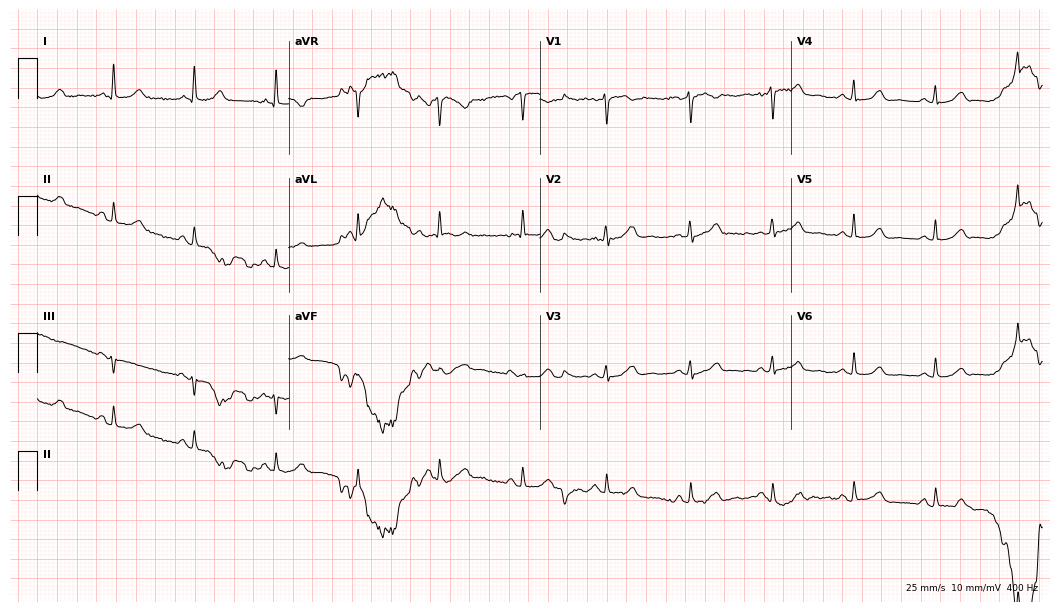
ECG — a female patient, 70 years old. Labelled as a normal ECG.